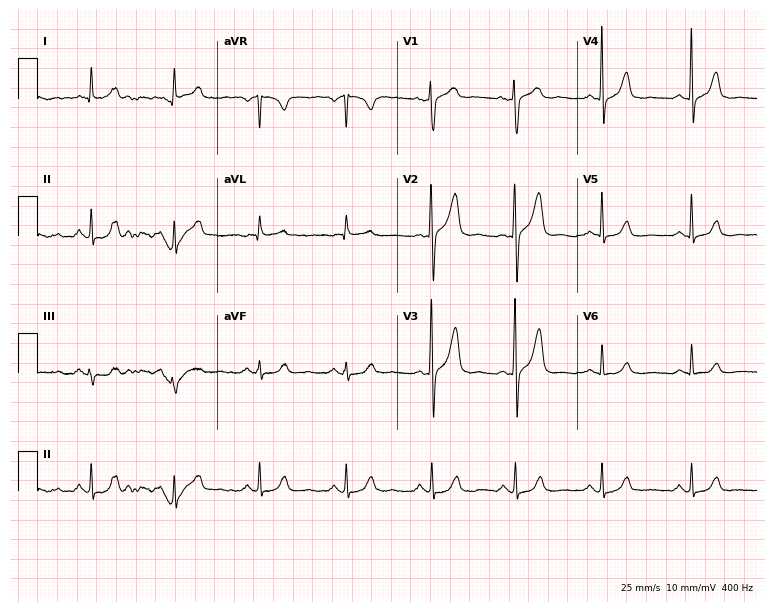
12-lead ECG from a 66-year-old female. Labelled as a normal ECG.